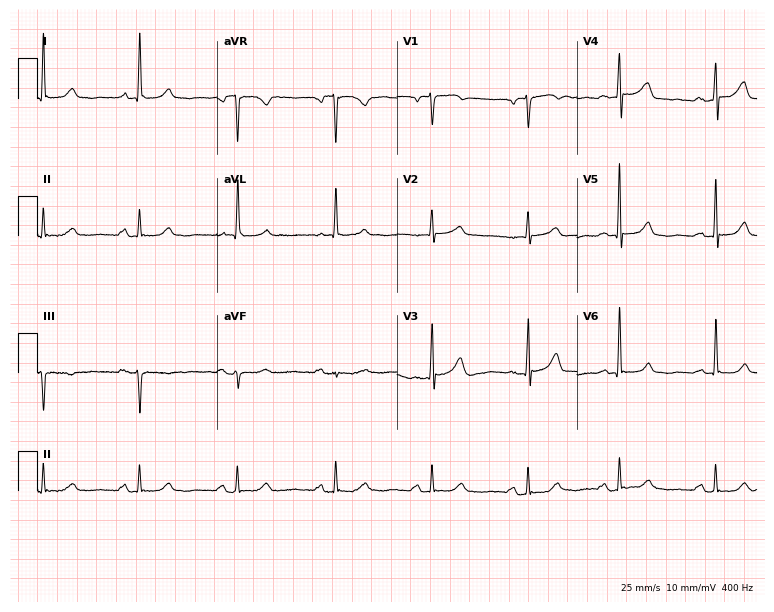
Resting 12-lead electrocardiogram (7.3-second recording at 400 Hz). Patient: a female, 67 years old. None of these six findings is recorded: first-degree AV block, right bundle branch block, left bundle branch block, sinus bradycardia, atrial fibrillation, sinus tachycardia. Findings outside these six are not listed.